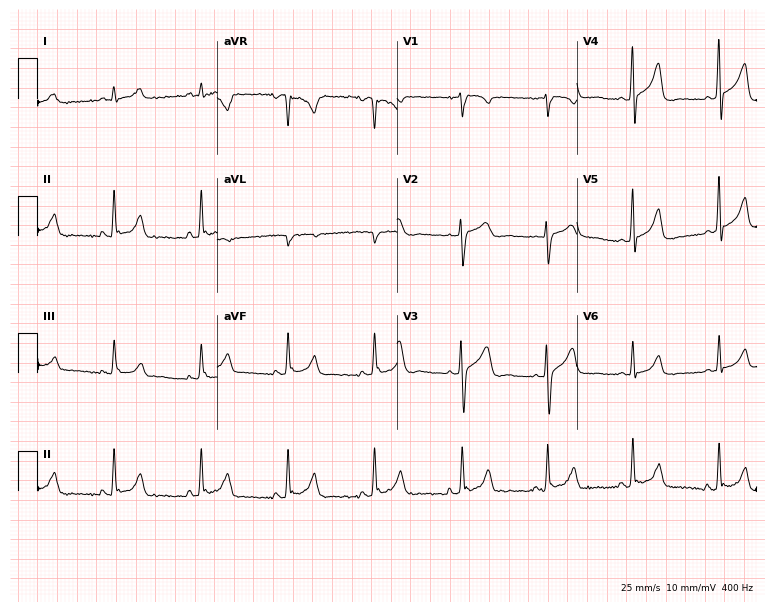
12-lead ECG (7.3-second recording at 400 Hz) from a 58-year-old male. Screened for six findings — first-degree AV block, right bundle branch block, left bundle branch block, sinus bradycardia, atrial fibrillation, sinus tachycardia — none is recorded. Other findings, if any, are not listed.